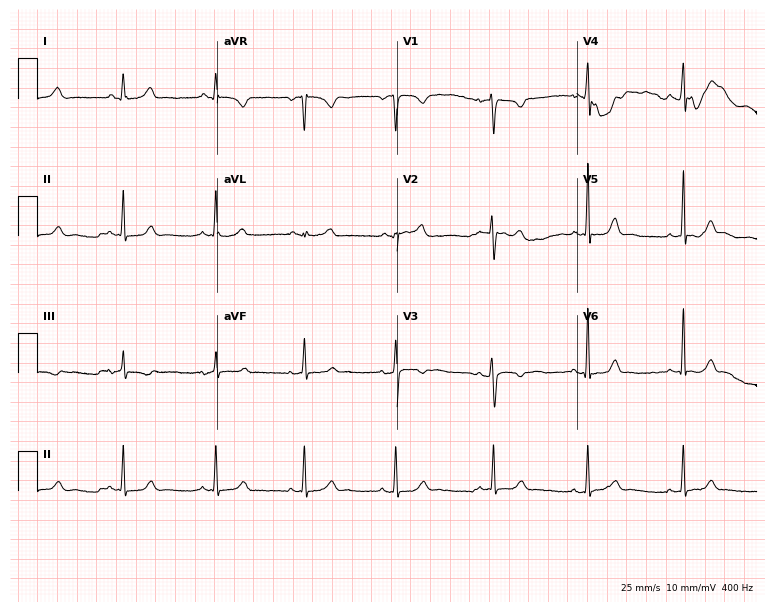
Resting 12-lead electrocardiogram. Patient: a 31-year-old woman. None of these six findings is recorded: first-degree AV block, right bundle branch block (RBBB), left bundle branch block (LBBB), sinus bradycardia, atrial fibrillation (AF), sinus tachycardia.